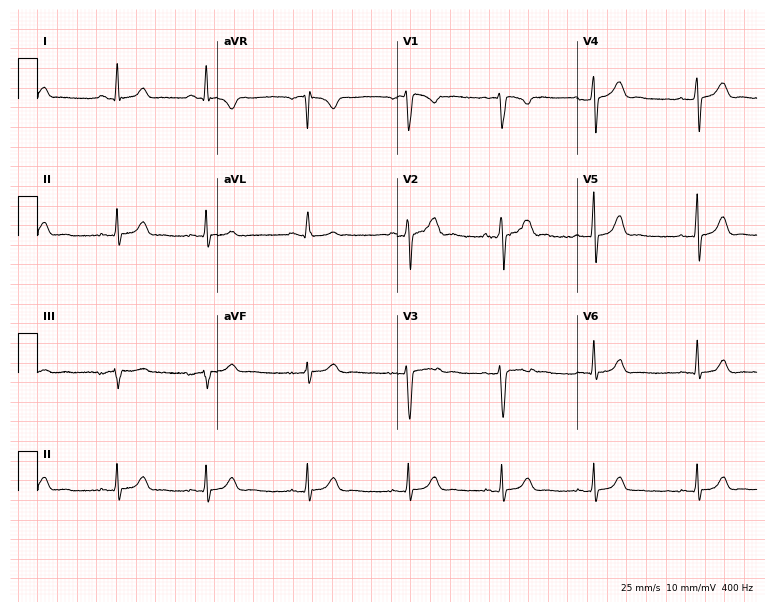
12-lead ECG from a female patient, 19 years old. No first-degree AV block, right bundle branch block (RBBB), left bundle branch block (LBBB), sinus bradycardia, atrial fibrillation (AF) or sinus tachycardia recorded for this tracing.